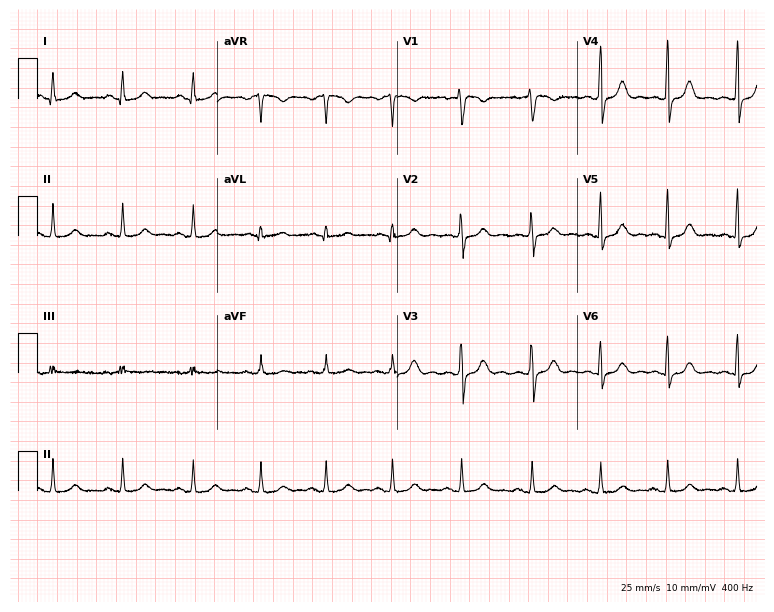
Standard 12-lead ECG recorded from a 22-year-old female patient. Read as a normal ECG.